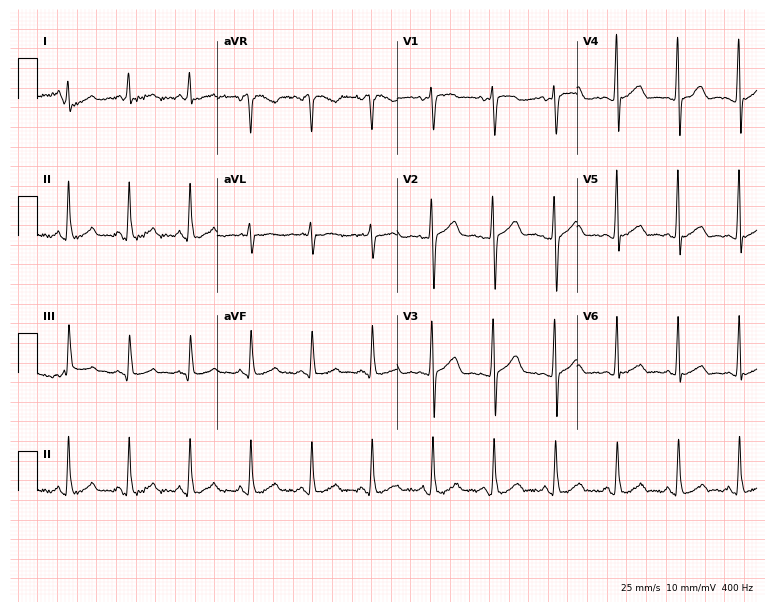
12-lead ECG from a 51-year-old woman. Recorded interpretation: within normal limits.